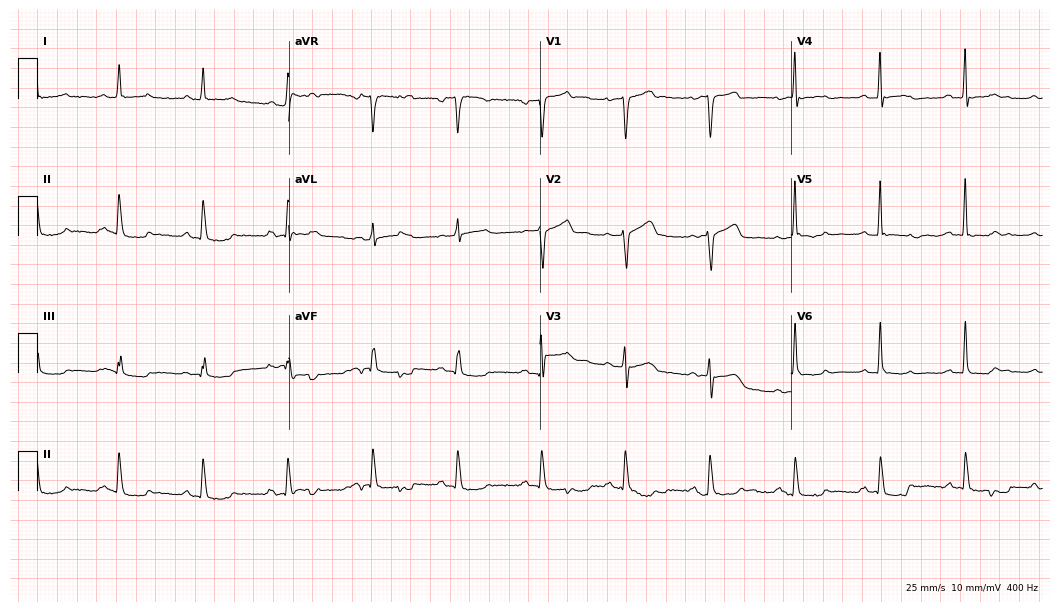
12-lead ECG from a 64-year-old male patient (10.2-second recording at 400 Hz). No first-degree AV block, right bundle branch block (RBBB), left bundle branch block (LBBB), sinus bradycardia, atrial fibrillation (AF) or sinus tachycardia recorded for this tracing. Findings outside these six are not listed.